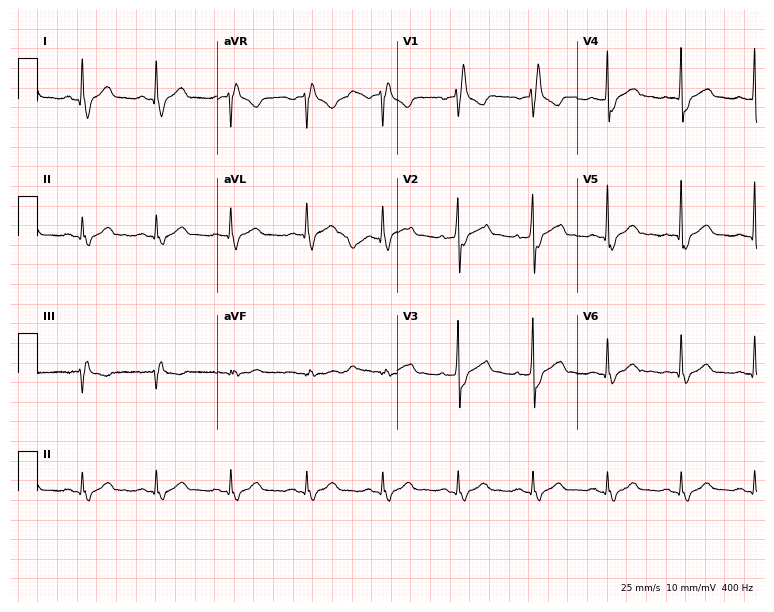
12-lead ECG (7.3-second recording at 400 Hz) from a man, 51 years old. Findings include right bundle branch block.